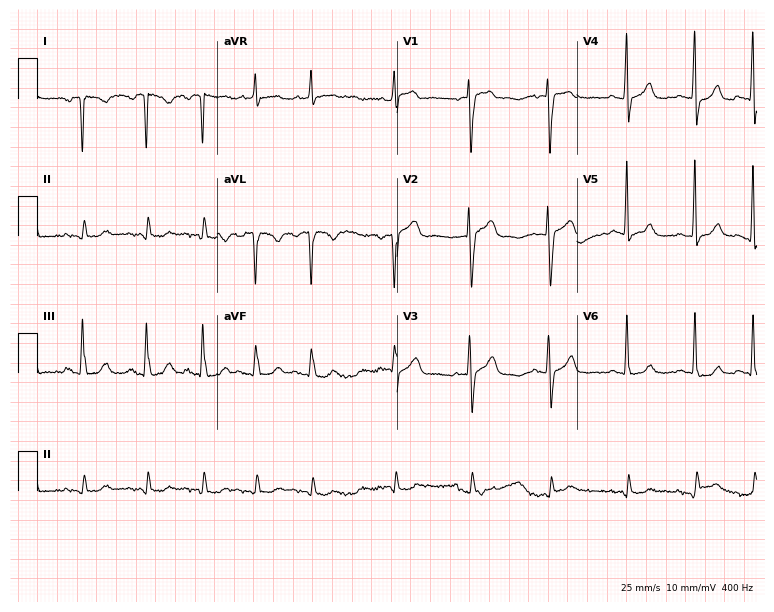
ECG (7.3-second recording at 400 Hz) — a 73-year-old female. Screened for six findings — first-degree AV block, right bundle branch block (RBBB), left bundle branch block (LBBB), sinus bradycardia, atrial fibrillation (AF), sinus tachycardia — none is recorded. Only these six findings were labelled.